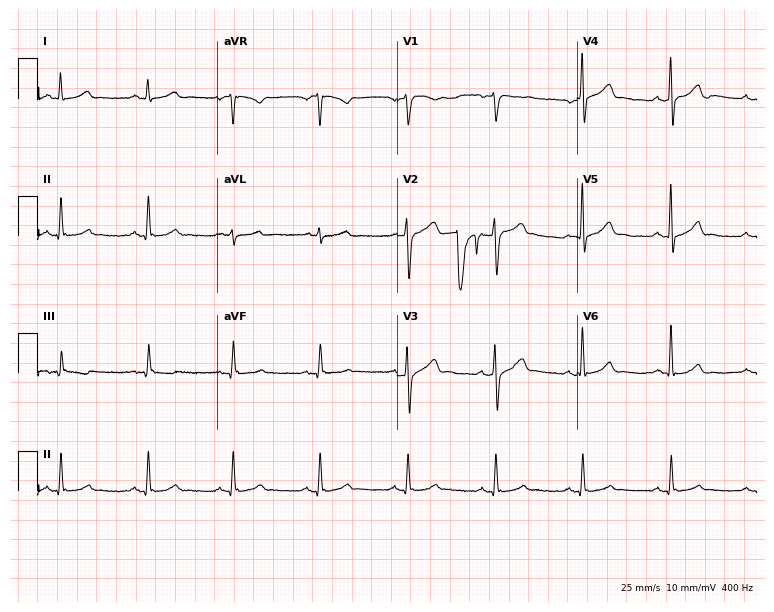
ECG — a man, 45 years old. Screened for six findings — first-degree AV block, right bundle branch block (RBBB), left bundle branch block (LBBB), sinus bradycardia, atrial fibrillation (AF), sinus tachycardia — none is recorded.